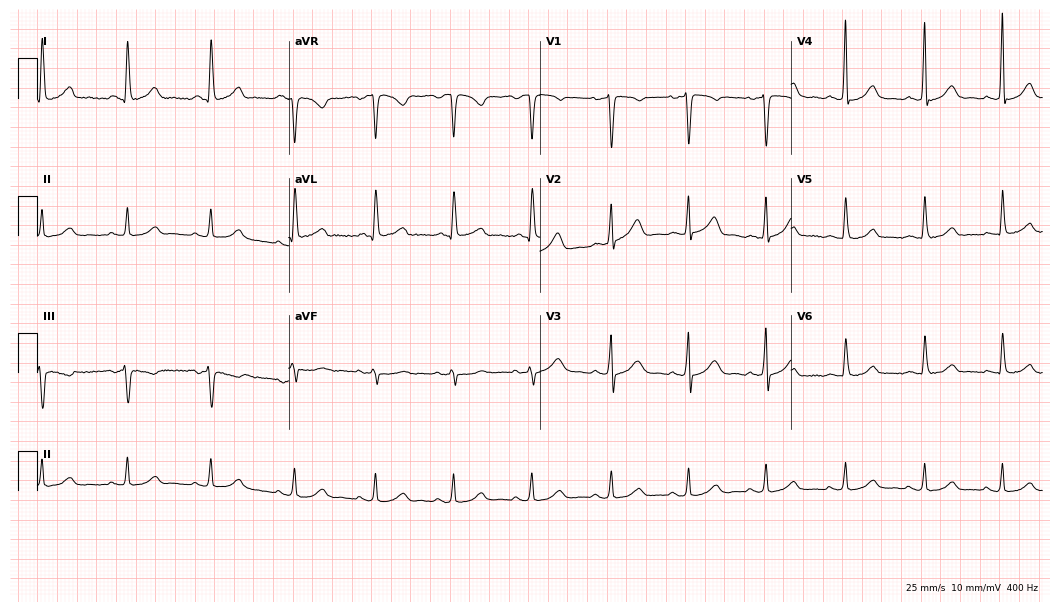
Resting 12-lead electrocardiogram. Patient: a female, 48 years old. Read as a normal ECG.